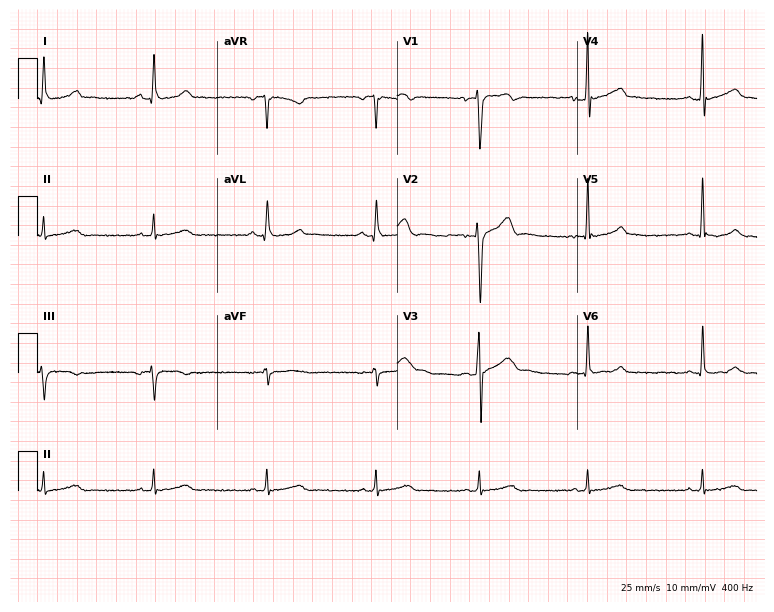
Electrocardiogram (7.3-second recording at 400 Hz), a man, 23 years old. Overall reading on record: normal ECG.